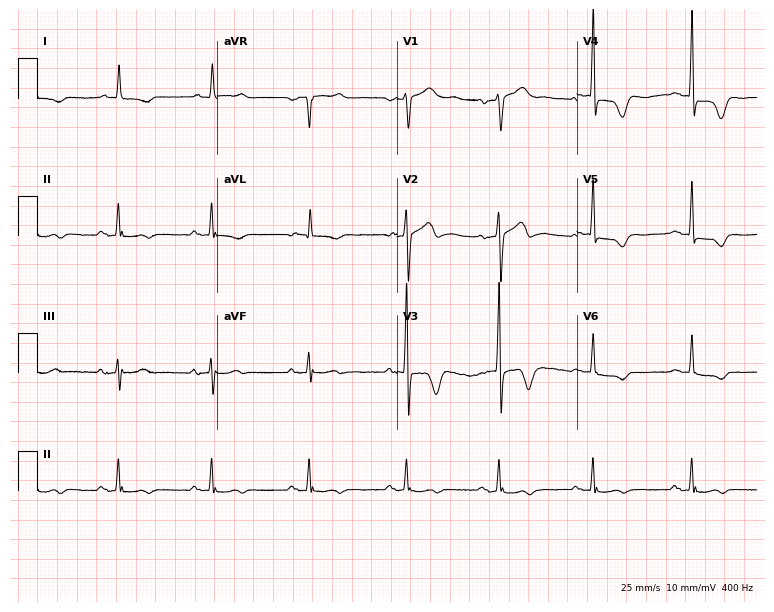
Electrocardiogram, an 84-year-old female. Of the six screened findings (first-degree AV block, right bundle branch block (RBBB), left bundle branch block (LBBB), sinus bradycardia, atrial fibrillation (AF), sinus tachycardia), none is recorded. Findings outside these six are not listed.